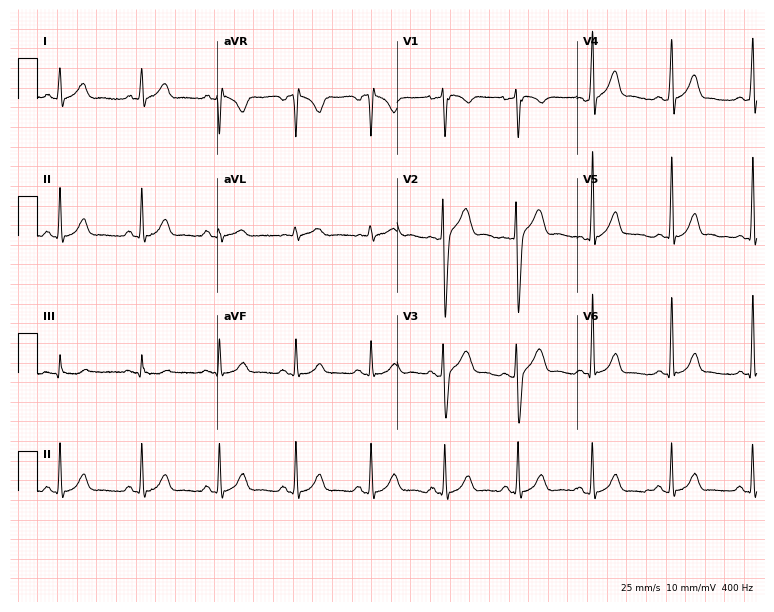
Standard 12-lead ECG recorded from a 26-year-old male patient (7.3-second recording at 400 Hz). Read as a normal ECG.